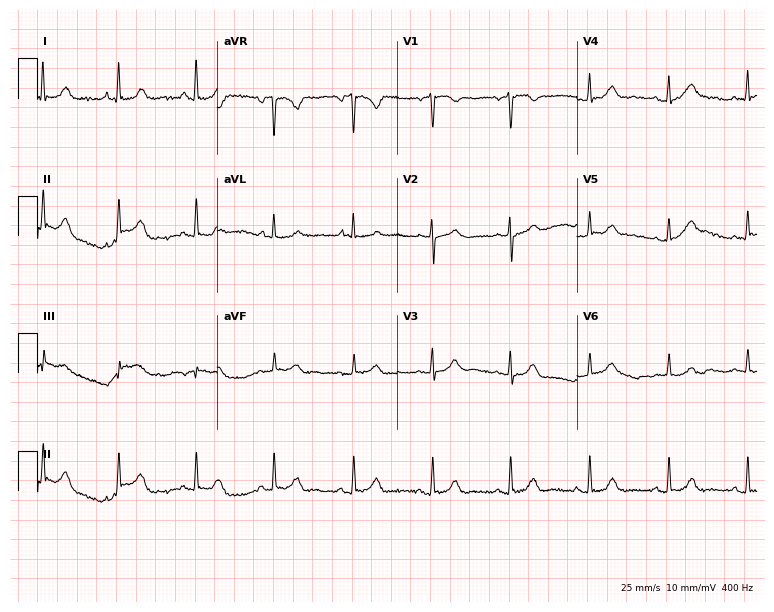
12-lead ECG (7.3-second recording at 400 Hz) from a 61-year-old female patient. Labelled as a normal ECG.